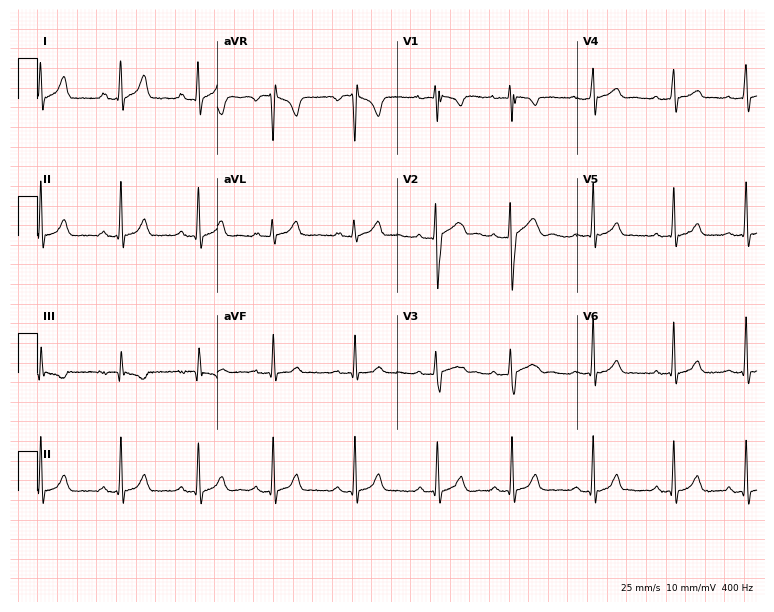
Resting 12-lead electrocardiogram (7.3-second recording at 400 Hz). Patient: a female, 17 years old. Read as a normal ECG.